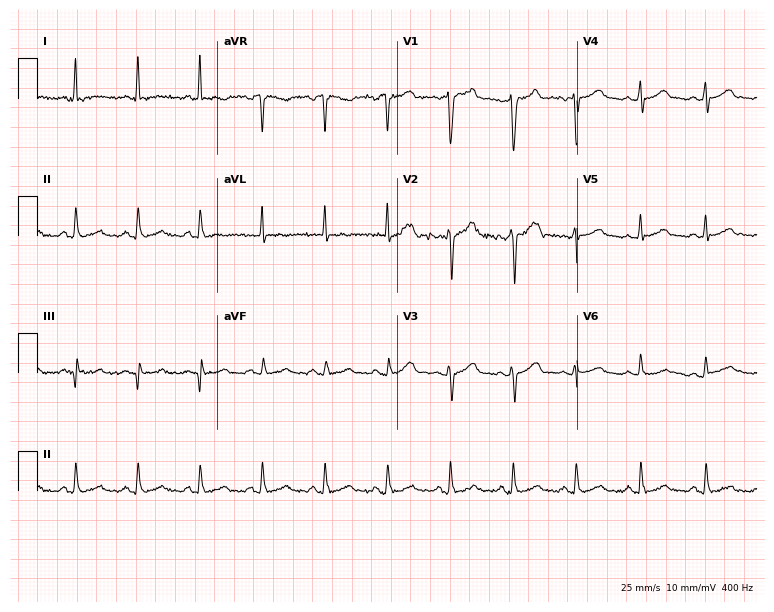
ECG — a 32-year-old man. Labelled as a normal ECG.